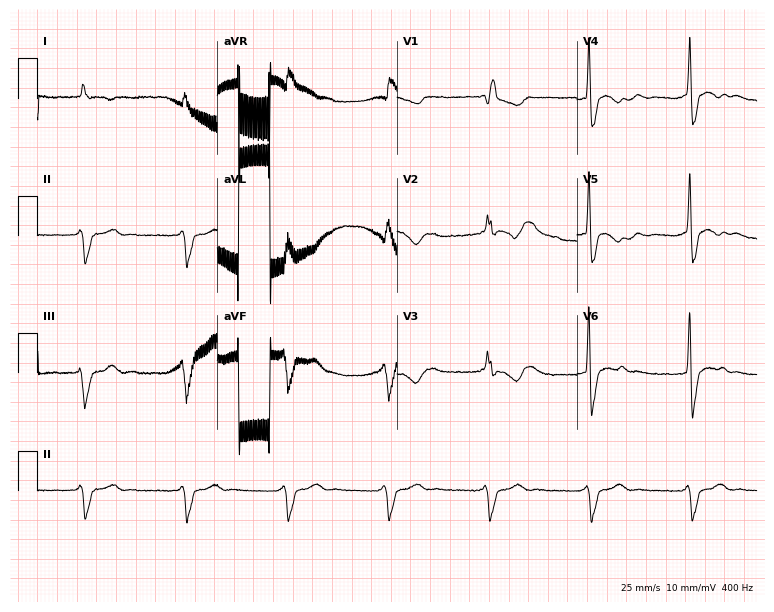
ECG — an 82-year-old male patient. Screened for six findings — first-degree AV block, right bundle branch block, left bundle branch block, sinus bradycardia, atrial fibrillation, sinus tachycardia — none is recorded. Only these six findings were labelled.